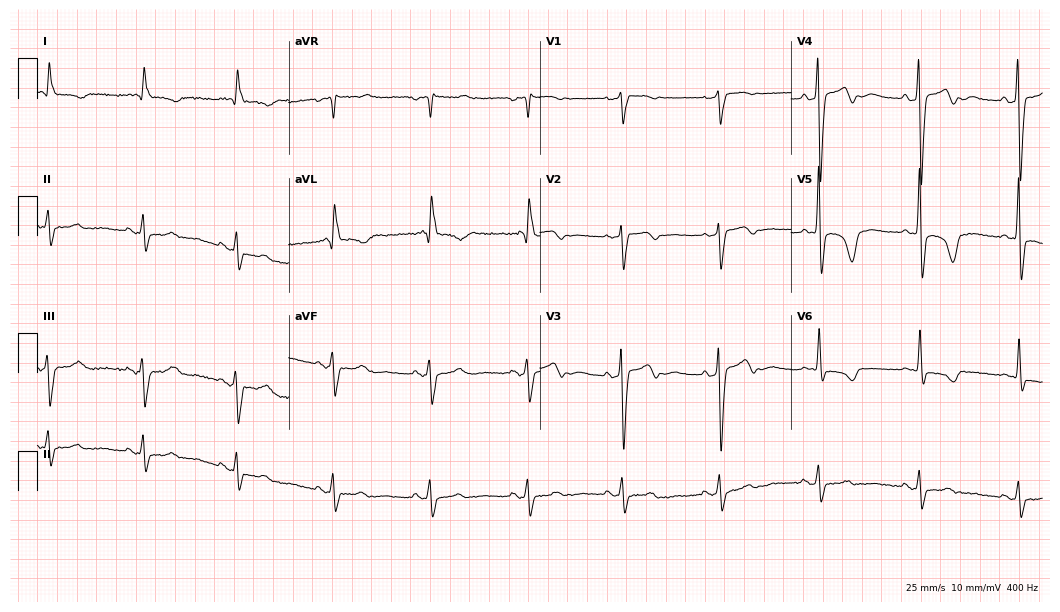
ECG — a 66-year-old woman. Screened for six findings — first-degree AV block, right bundle branch block, left bundle branch block, sinus bradycardia, atrial fibrillation, sinus tachycardia — none is recorded.